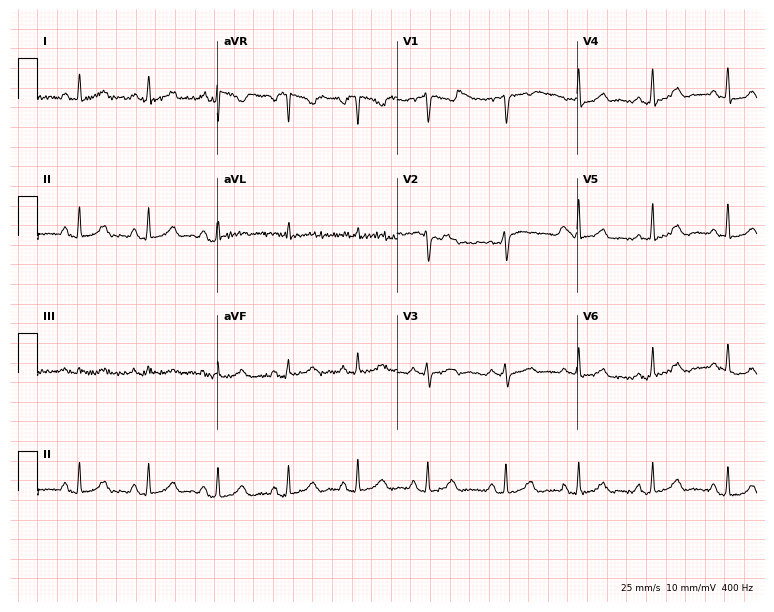
12-lead ECG (7.3-second recording at 400 Hz) from a woman, 53 years old. Labelled as a normal ECG.